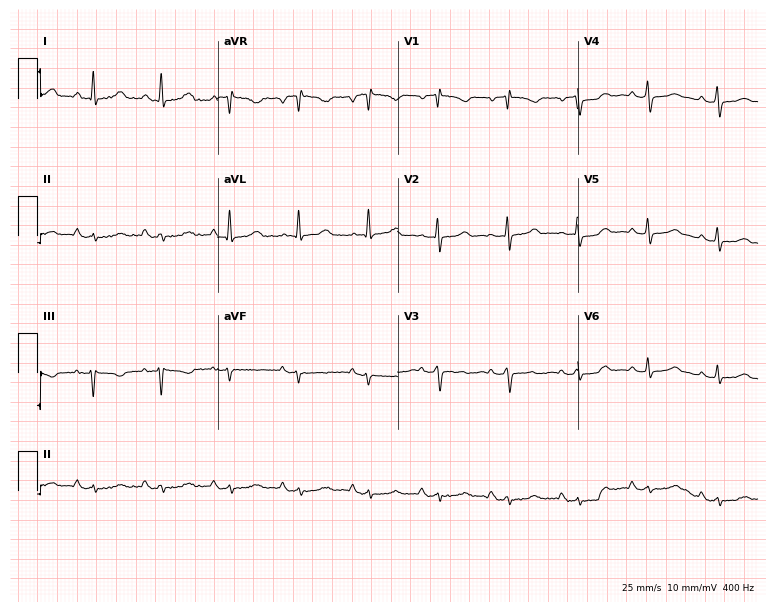
Electrocardiogram (7.3-second recording at 400 Hz), a female patient, 66 years old. Of the six screened findings (first-degree AV block, right bundle branch block, left bundle branch block, sinus bradycardia, atrial fibrillation, sinus tachycardia), none is recorded. Other findings, if any, are not listed.